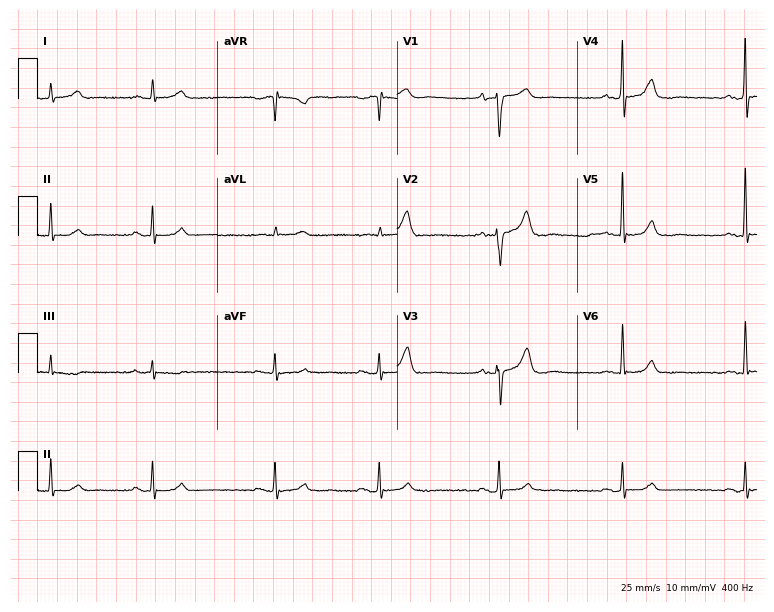
12-lead ECG from a 79-year-old male. Labelled as a normal ECG.